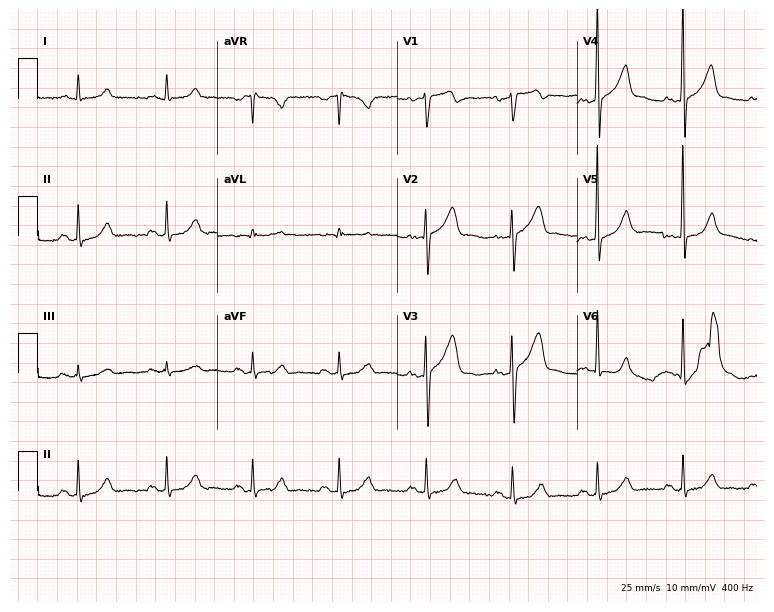
Resting 12-lead electrocardiogram (7.3-second recording at 400 Hz). Patient: a male, 61 years old. Read as a normal ECG.